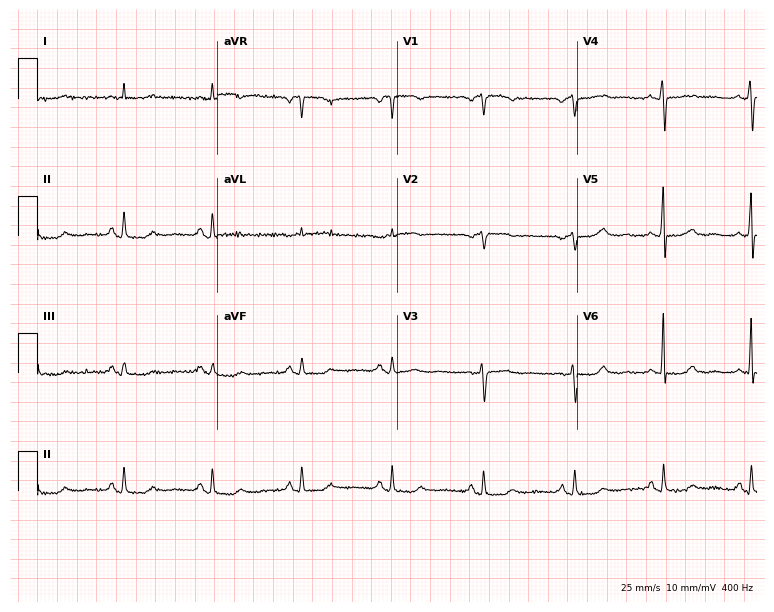
12-lead ECG from a female, 66 years old. No first-degree AV block, right bundle branch block, left bundle branch block, sinus bradycardia, atrial fibrillation or sinus tachycardia recorded for this tracing.